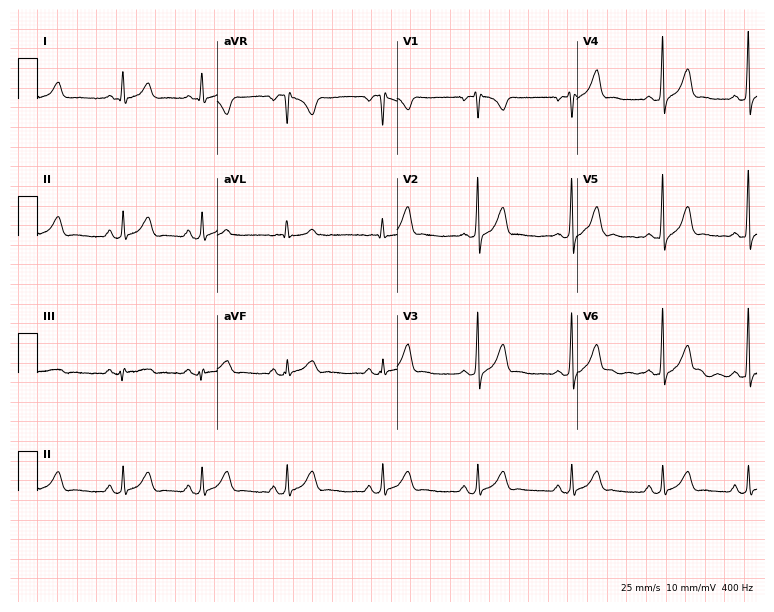
ECG (7.3-second recording at 400 Hz) — a man, 23 years old. Labelled as a normal ECG.